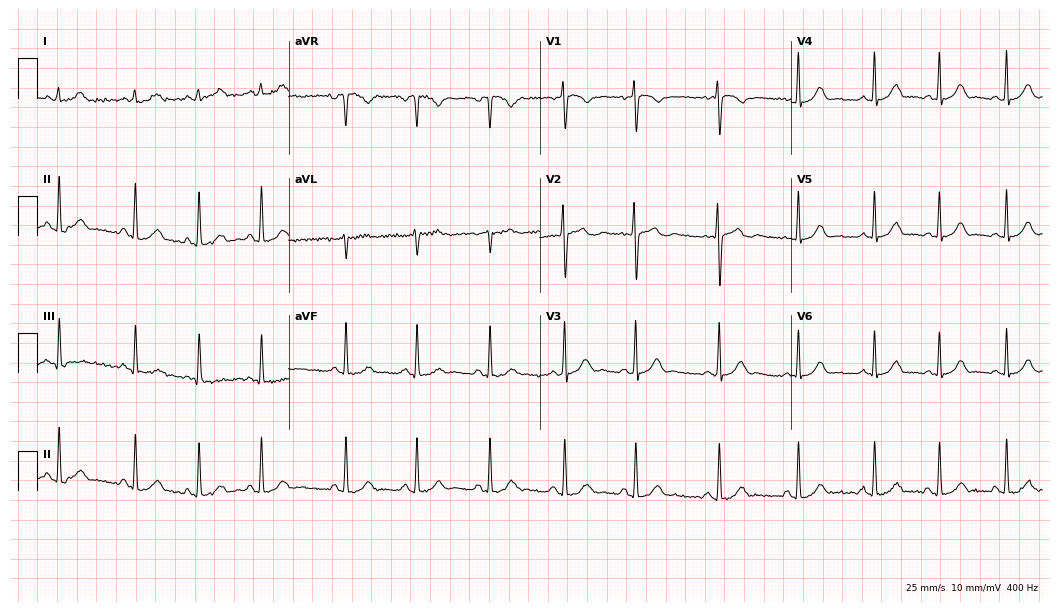
ECG — a 19-year-old female patient. Labelled as a normal ECG.